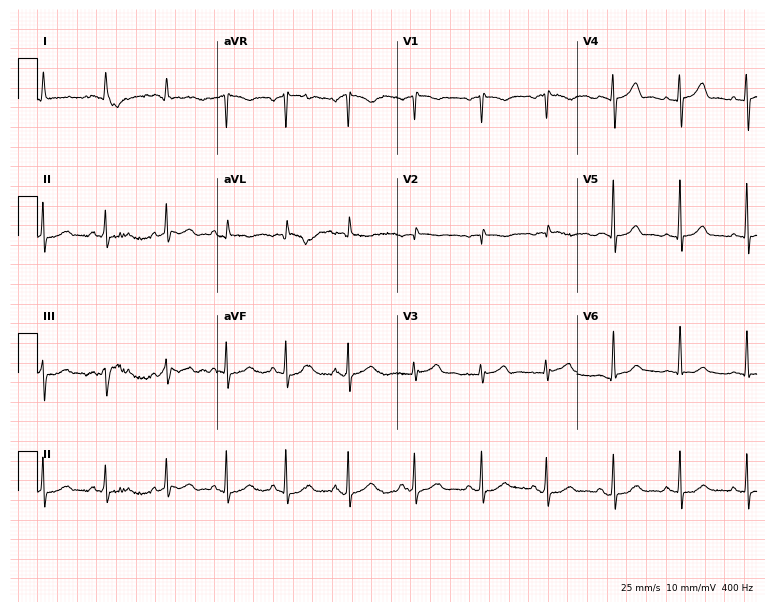
Electrocardiogram, a female, 64 years old. Of the six screened findings (first-degree AV block, right bundle branch block (RBBB), left bundle branch block (LBBB), sinus bradycardia, atrial fibrillation (AF), sinus tachycardia), none is recorded. Findings outside these six are not listed.